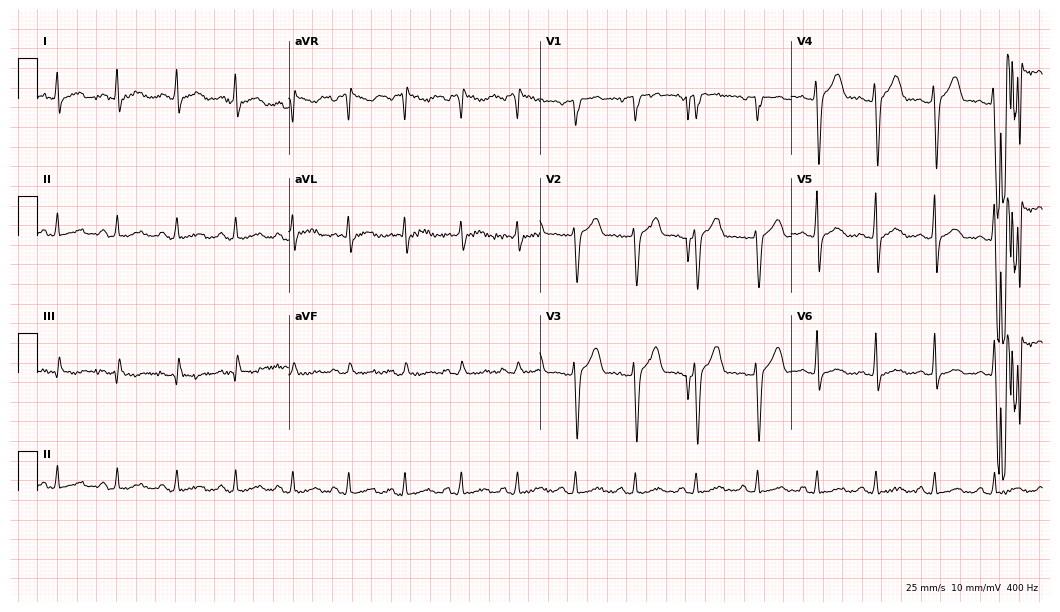
12-lead ECG (10.2-second recording at 400 Hz) from a man, 35 years old. Screened for six findings — first-degree AV block, right bundle branch block, left bundle branch block, sinus bradycardia, atrial fibrillation, sinus tachycardia — none is recorded.